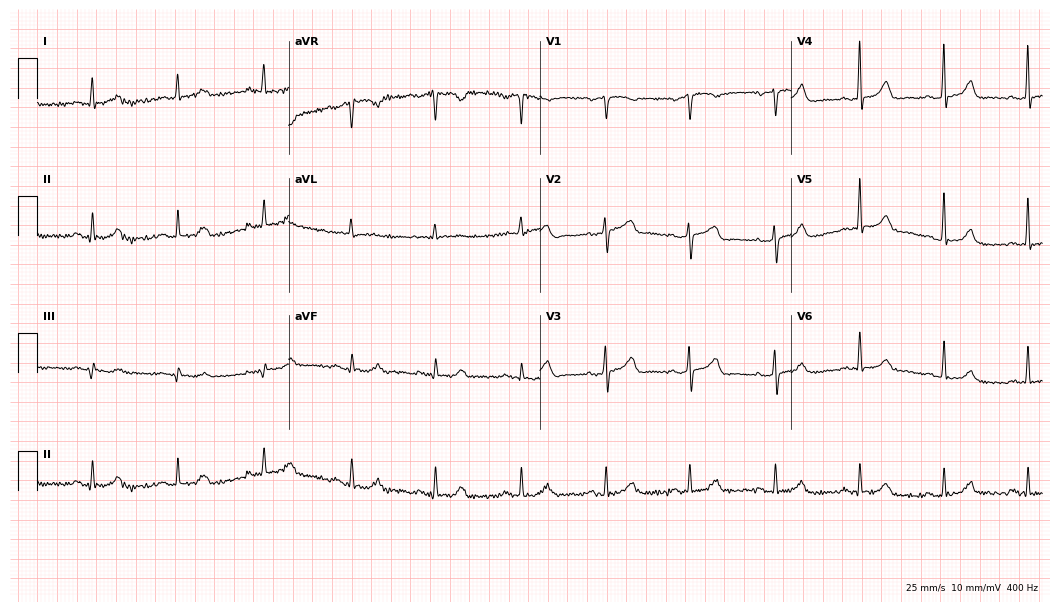
Standard 12-lead ECG recorded from a 58-year-old female patient (10.2-second recording at 400 Hz). Read as a normal ECG.